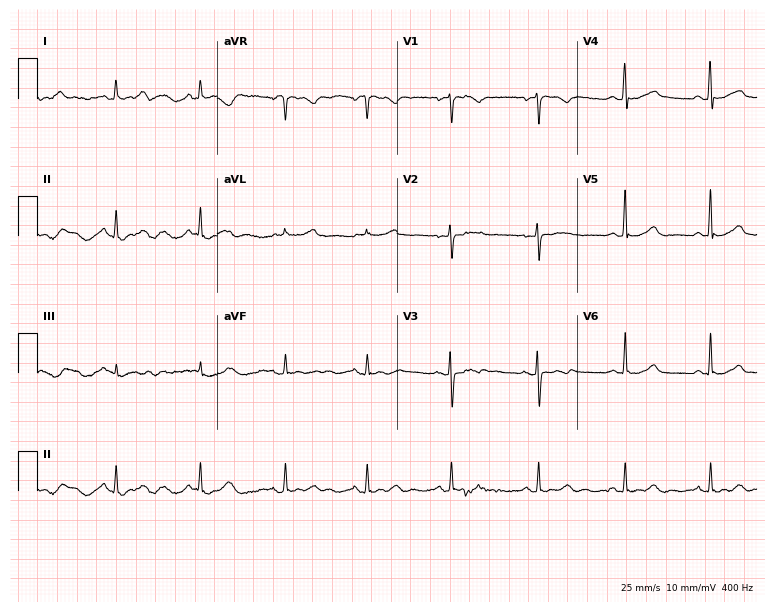
Standard 12-lead ECG recorded from a 36-year-old female (7.3-second recording at 400 Hz). Read as a normal ECG.